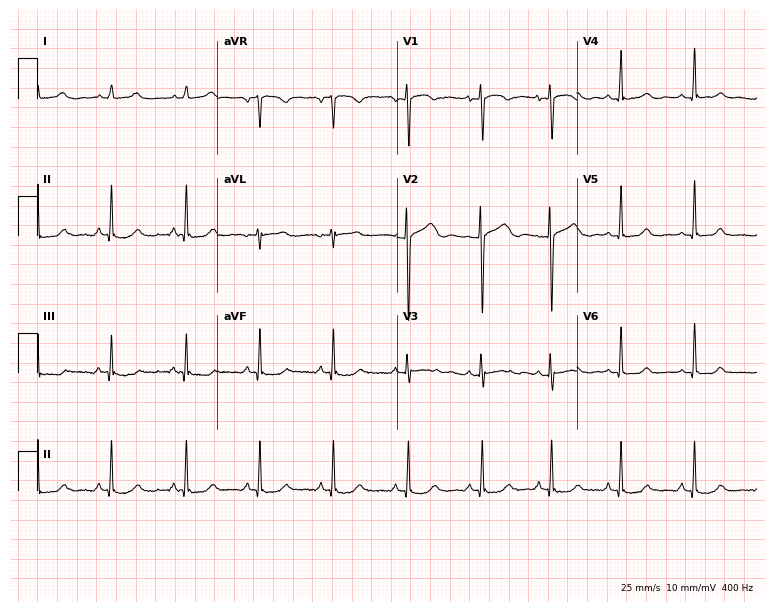
12-lead ECG (7.3-second recording at 400 Hz) from a 32-year-old female. Labelled as a normal ECG.